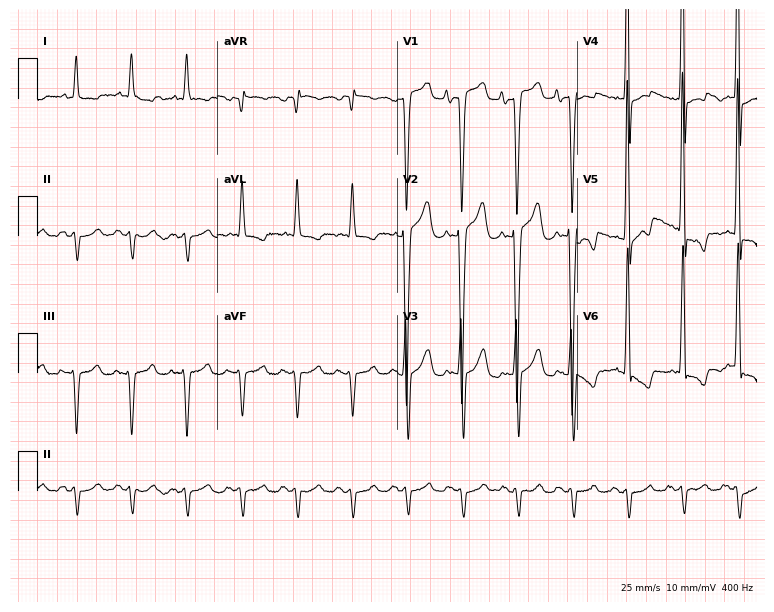
ECG (7.3-second recording at 400 Hz) — a male patient, 72 years old. Screened for six findings — first-degree AV block, right bundle branch block (RBBB), left bundle branch block (LBBB), sinus bradycardia, atrial fibrillation (AF), sinus tachycardia — none is recorded.